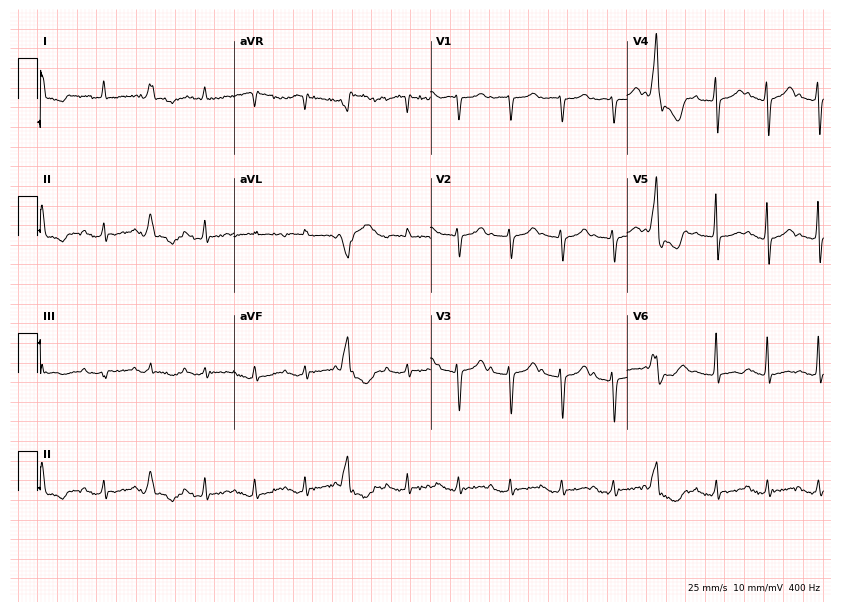
12-lead ECG from a woman, 85 years old. No first-degree AV block, right bundle branch block, left bundle branch block, sinus bradycardia, atrial fibrillation or sinus tachycardia recorded for this tracing. Findings outside these six are not listed.